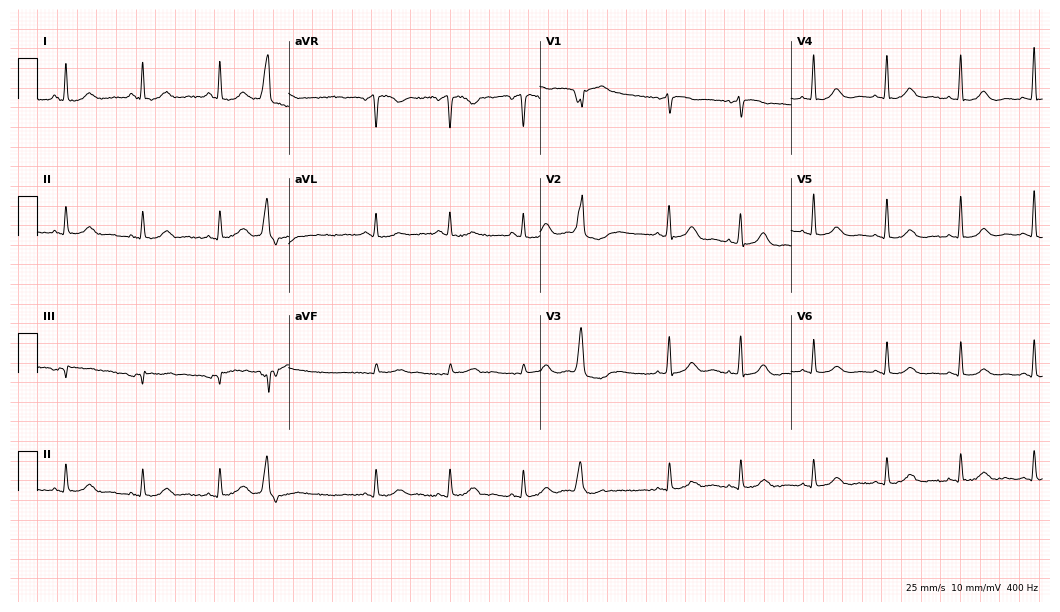
12-lead ECG from a female patient, 82 years old. Screened for six findings — first-degree AV block, right bundle branch block, left bundle branch block, sinus bradycardia, atrial fibrillation, sinus tachycardia — none is recorded.